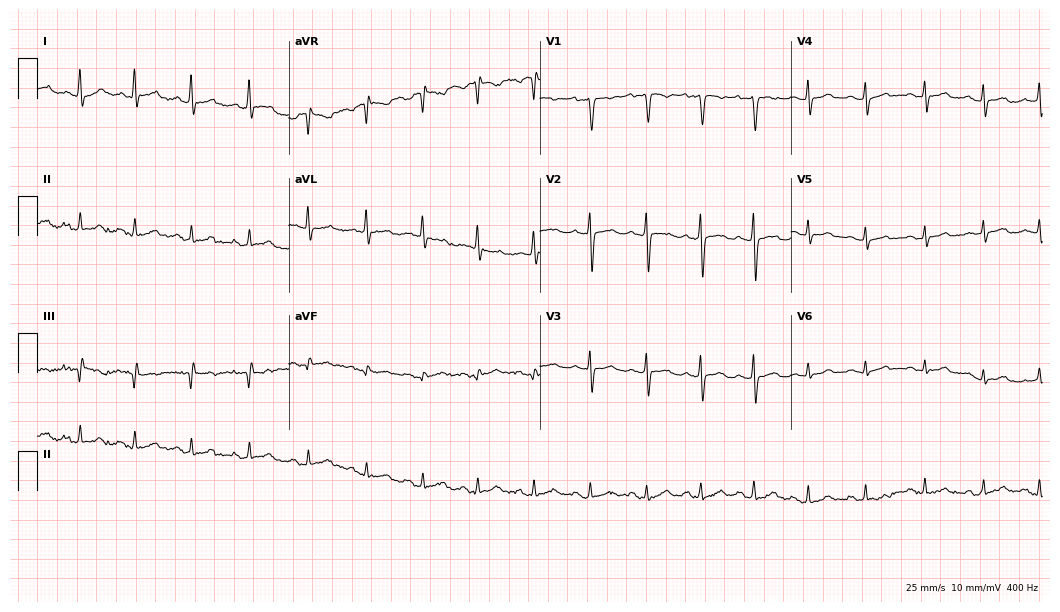
ECG (10.2-second recording at 400 Hz) — a woman, 18 years old. Findings include sinus tachycardia (a sinus rate of 100 beats per minute or more).